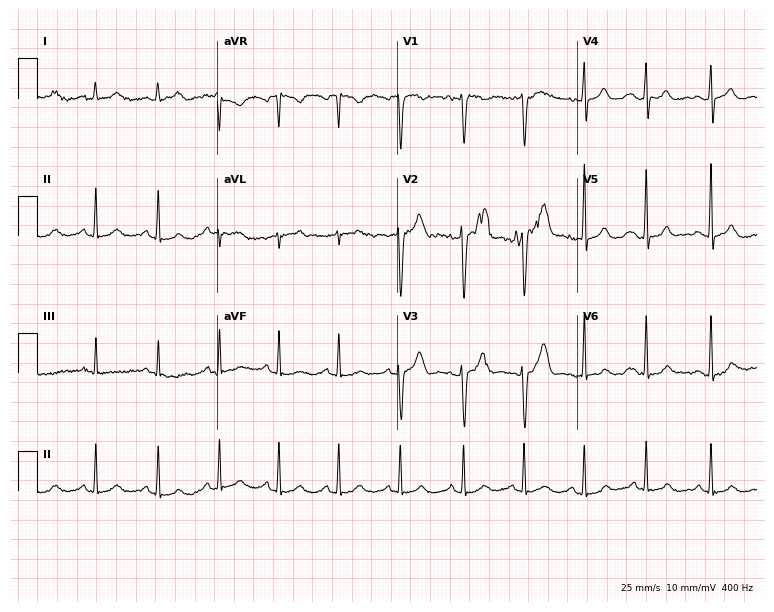
12-lead ECG from a 31-year-old female patient (7.3-second recording at 400 Hz). Recorded interpretation: within normal limits.